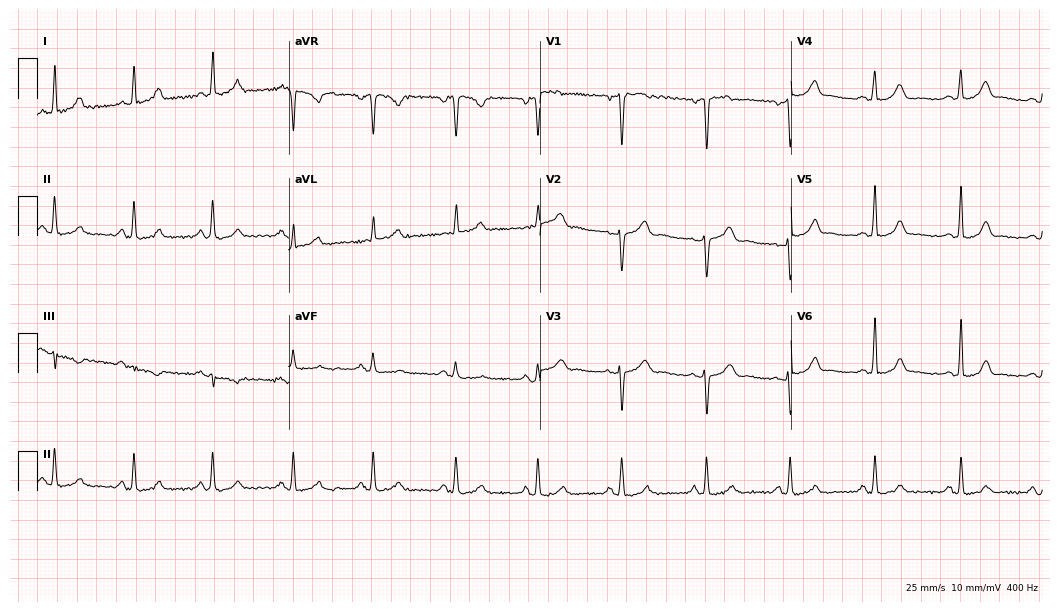
Electrocardiogram (10.2-second recording at 400 Hz), a female patient, 41 years old. Overall reading on record: normal ECG.